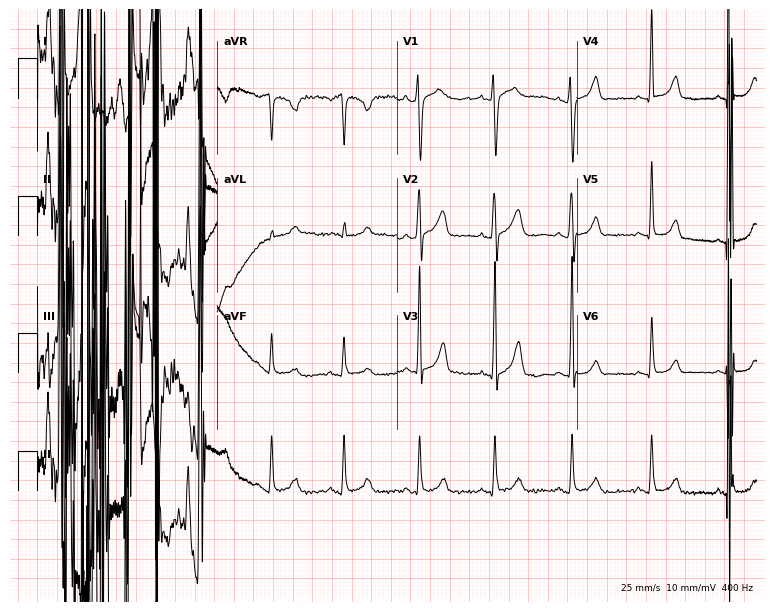
ECG (7.3-second recording at 400 Hz) — a female, 34 years old. Screened for six findings — first-degree AV block, right bundle branch block, left bundle branch block, sinus bradycardia, atrial fibrillation, sinus tachycardia — none is recorded. Only these six findings were labelled.